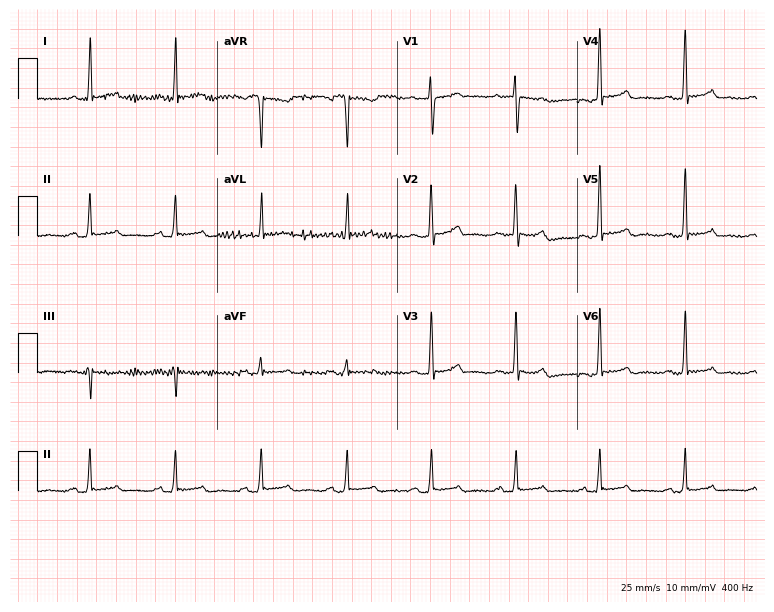
ECG — a female patient, 65 years old. Screened for six findings — first-degree AV block, right bundle branch block, left bundle branch block, sinus bradycardia, atrial fibrillation, sinus tachycardia — none is recorded. Only these six findings were labelled.